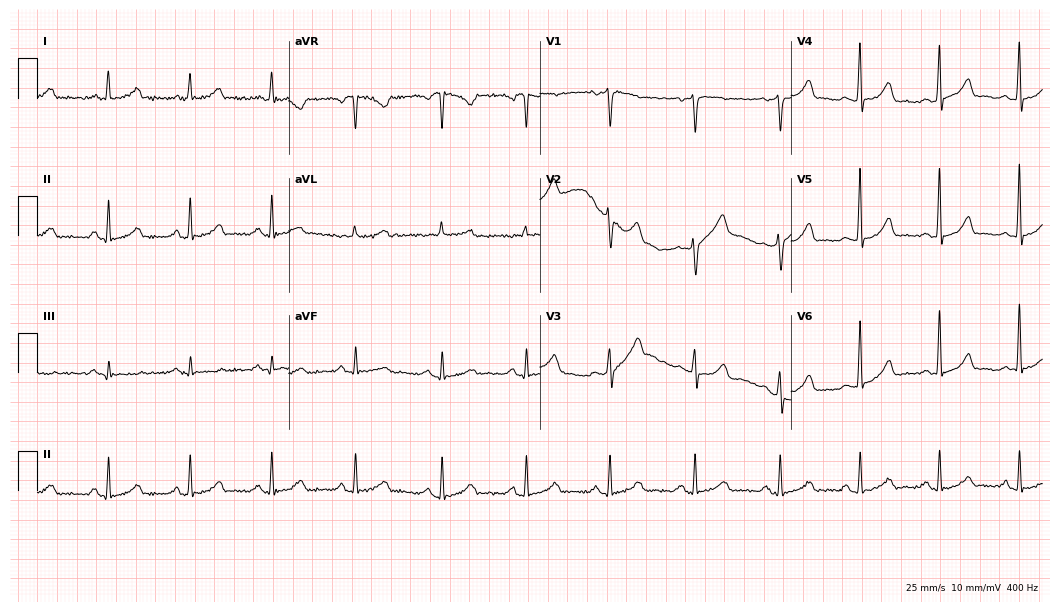
Standard 12-lead ECG recorded from a 51-year-old woman (10.2-second recording at 400 Hz). Read as a normal ECG.